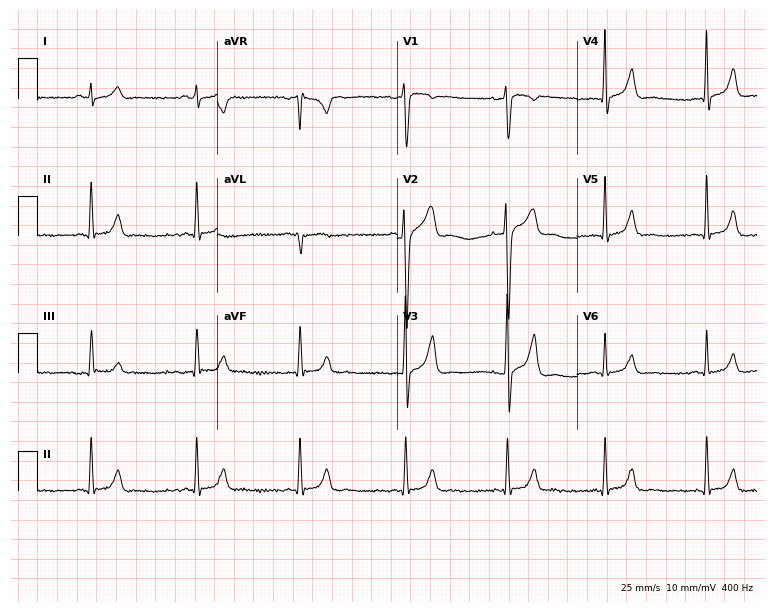
Electrocardiogram, a man, 42 years old. Overall reading on record: normal ECG.